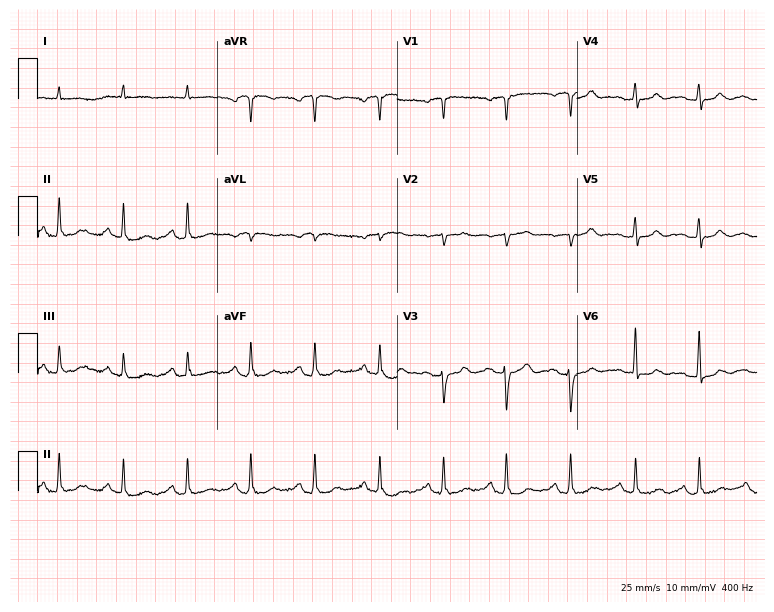
Resting 12-lead electrocardiogram (7.3-second recording at 400 Hz). Patient: a man, 77 years old. Read as a normal ECG.